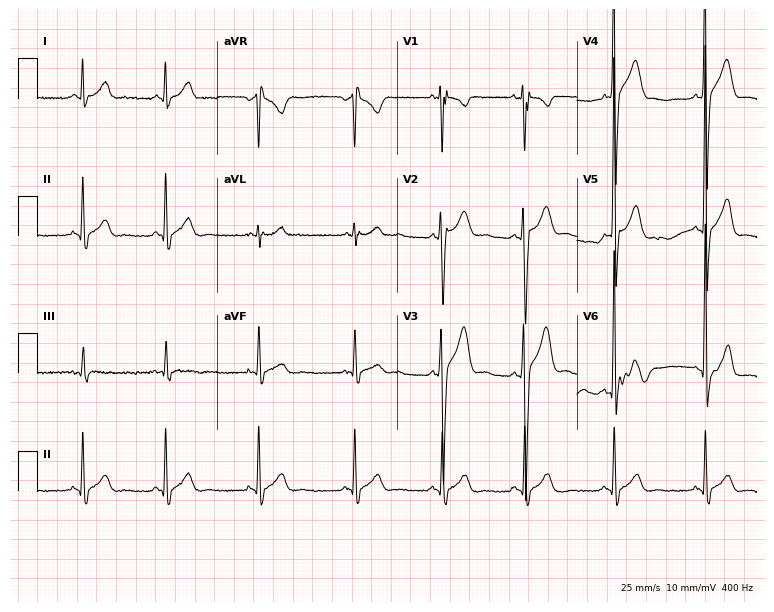
Electrocardiogram, a male patient, 24 years old. Overall reading on record: normal ECG.